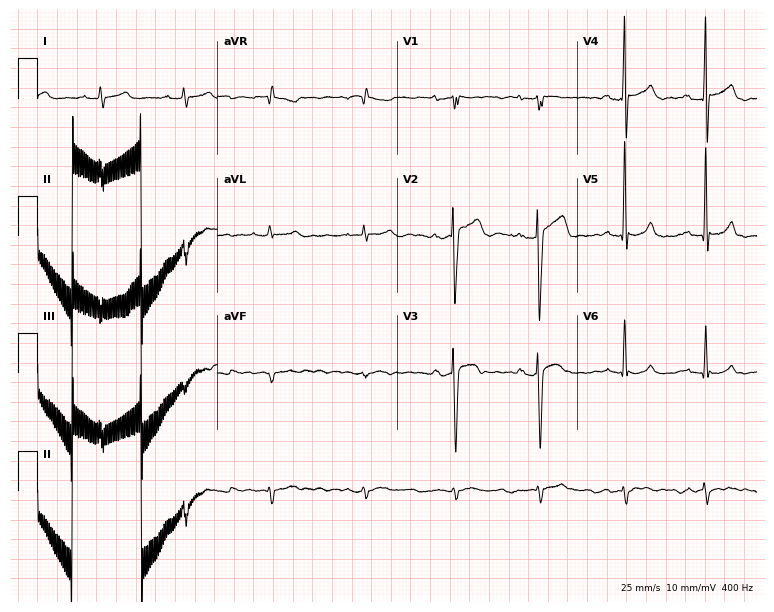
ECG — a male, 21 years old. Screened for six findings — first-degree AV block, right bundle branch block (RBBB), left bundle branch block (LBBB), sinus bradycardia, atrial fibrillation (AF), sinus tachycardia — none is recorded.